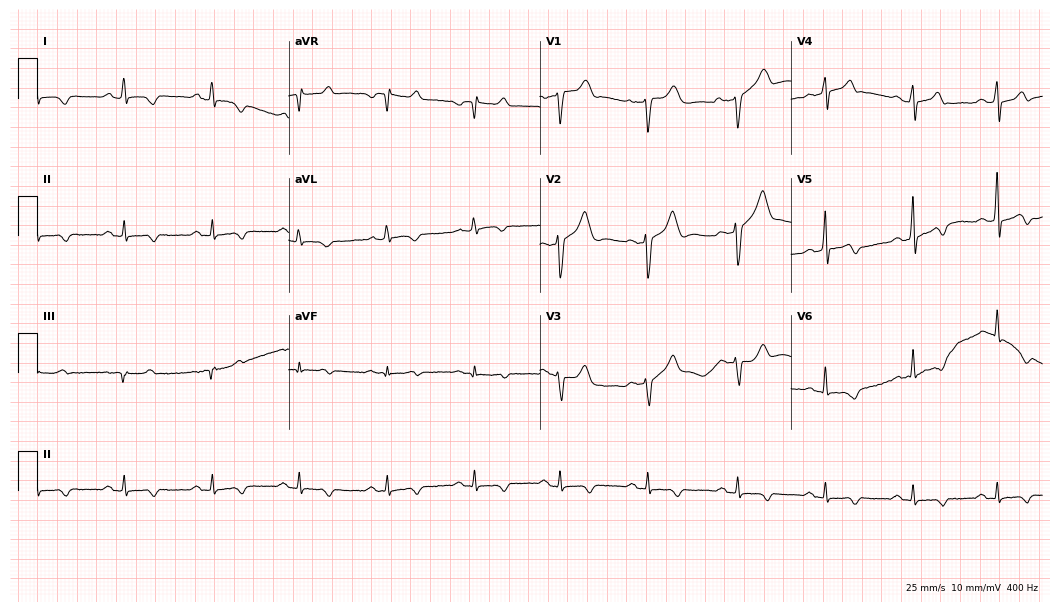
Resting 12-lead electrocardiogram (10.2-second recording at 400 Hz). Patient: a 38-year-old male. None of these six findings is recorded: first-degree AV block, right bundle branch block, left bundle branch block, sinus bradycardia, atrial fibrillation, sinus tachycardia. Findings outside these six are not listed.